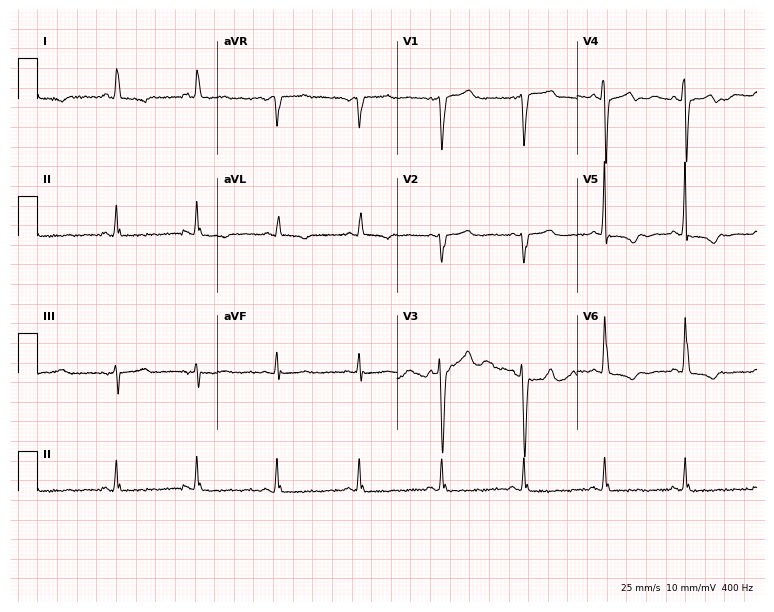
12-lead ECG from a man, 63 years old. Screened for six findings — first-degree AV block, right bundle branch block, left bundle branch block, sinus bradycardia, atrial fibrillation, sinus tachycardia — none is recorded. Other findings, if any, are not listed.